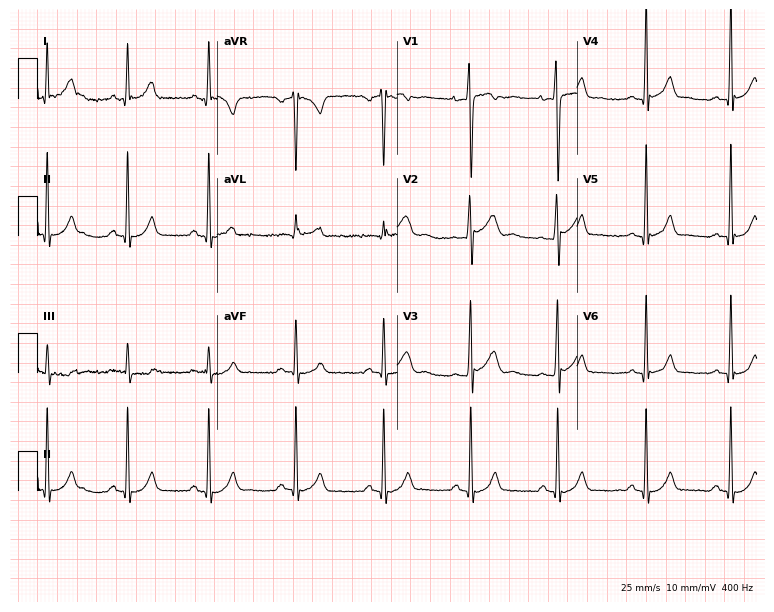
12-lead ECG from a 25-year-old man (7.3-second recording at 400 Hz). Recorded interpretation: within normal limits.